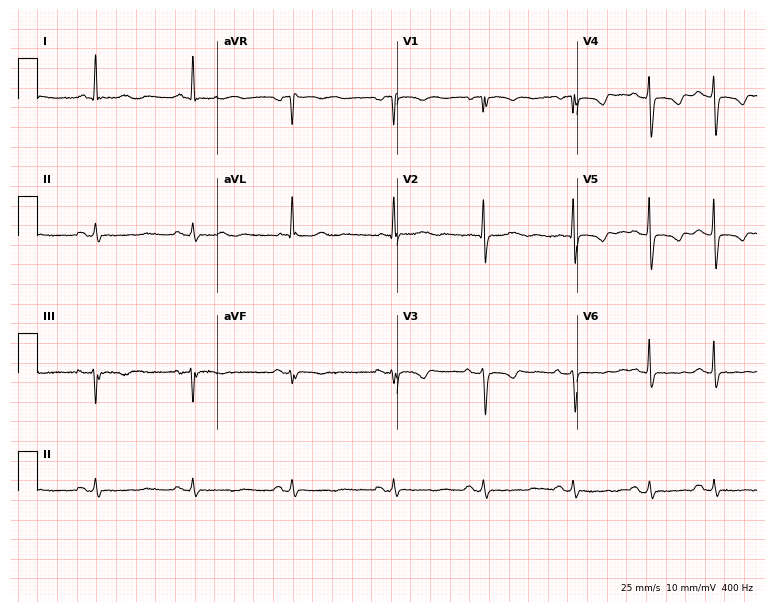
Standard 12-lead ECG recorded from a woman, 78 years old (7.3-second recording at 400 Hz). None of these six findings is recorded: first-degree AV block, right bundle branch block, left bundle branch block, sinus bradycardia, atrial fibrillation, sinus tachycardia. Findings outside these six are not listed.